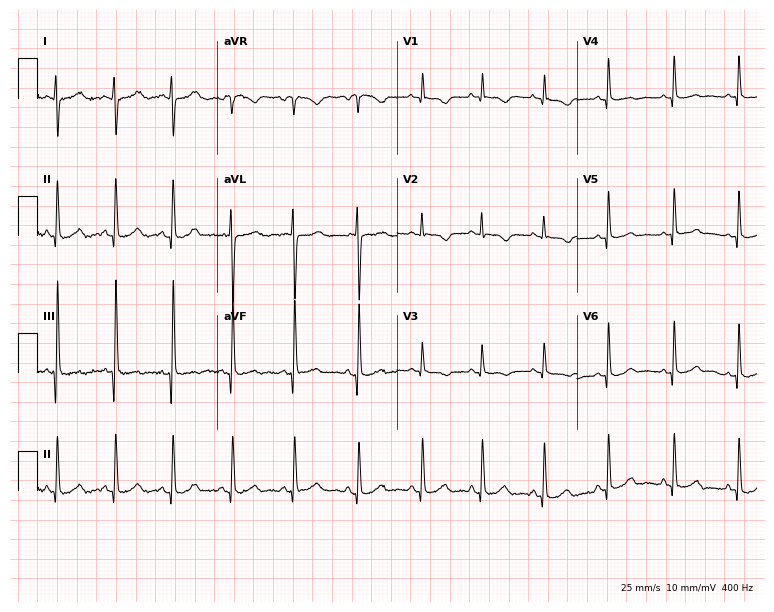
ECG (7.3-second recording at 400 Hz) — a 19-year-old female patient. Screened for six findings — first-degree AV block, right bundle branch block, left bundle branch block, sinus bradycardia, atrial fibrillation, sinus tachycardia — none is recorded.